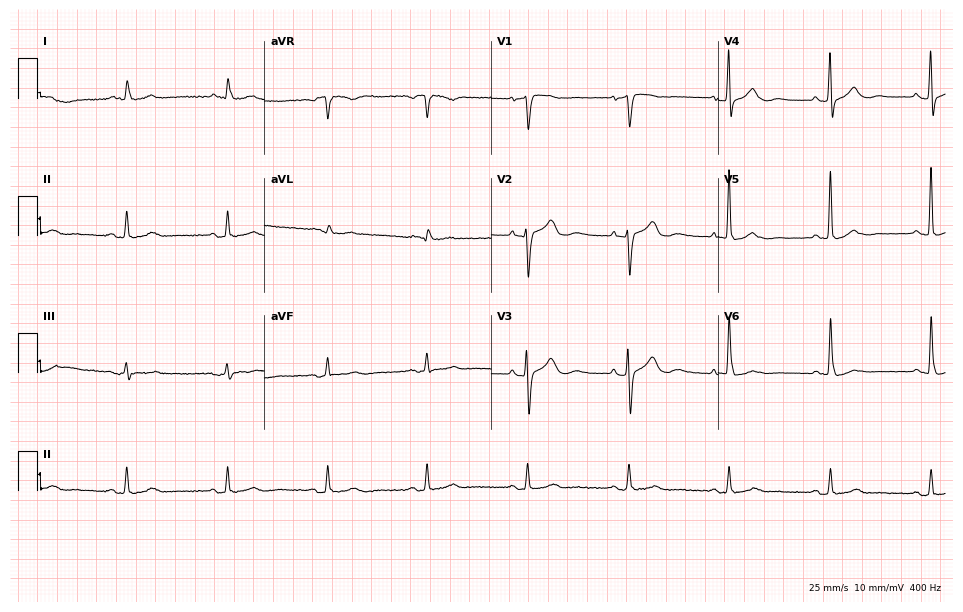
Standard 12-lead ECG recorded from a 70-year-old female (9.3-second recording at 400 Hz). None of these six findings is recorded: first-degree AV block, right bundle branch block (RBBB), left bundle branch block (LBBB), sinus bradycardia, atrial fibrillation (AF), sinus tachycardia.